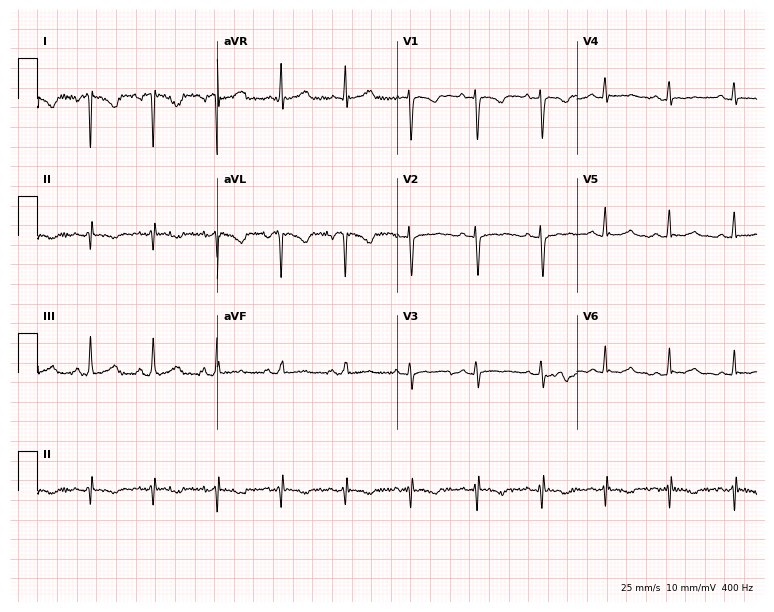
ECG (7.3-second recording at 400 Hz) — a 25-year-old female patient. Screened for six findings — first-degree AV block, right bundle branch block (RBBB), left bundle branch block (LBBB), sinus bradycardia, atrial fibrillation (AF), sinus tachycardia — none is recorded.